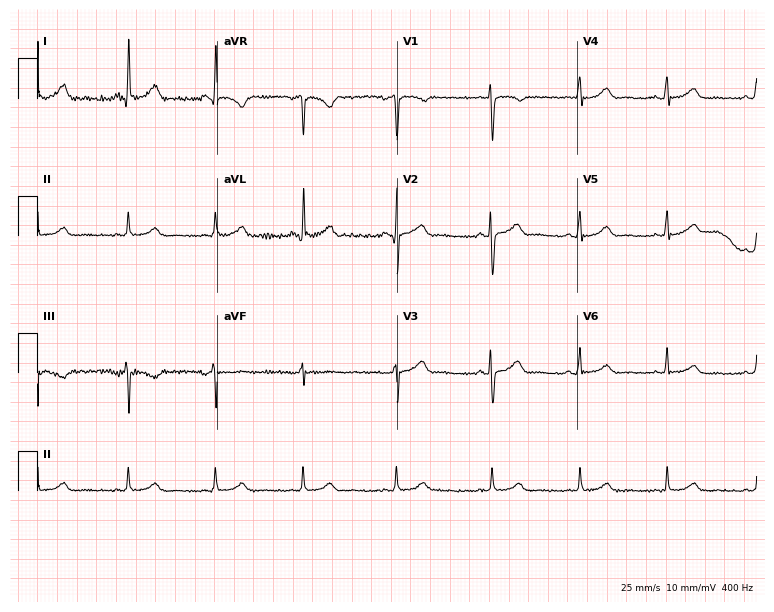
12-lead ECG from a 49-year-old female. Screened for six findings — first-degree AV block, right bundle branch block, left bundle branch block, sinus bradycardia, atrial fibrillation, sinus tachycardia — none is recorded.